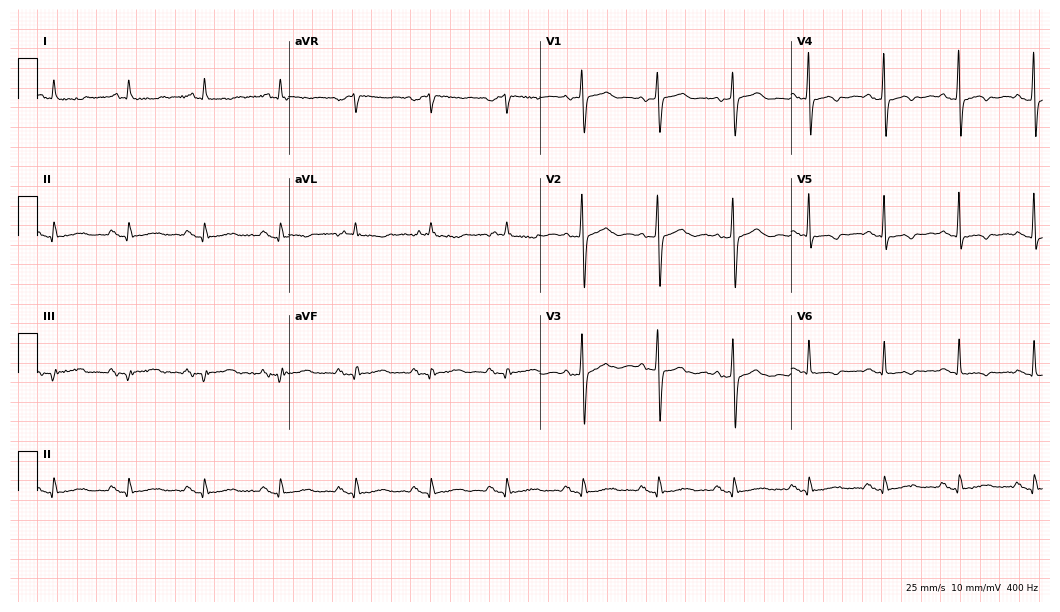
Standard 12-lead ECG recorded from a female patient, 77 years old (10.2-second recording at 400 Hz). Read as a normal ECG.